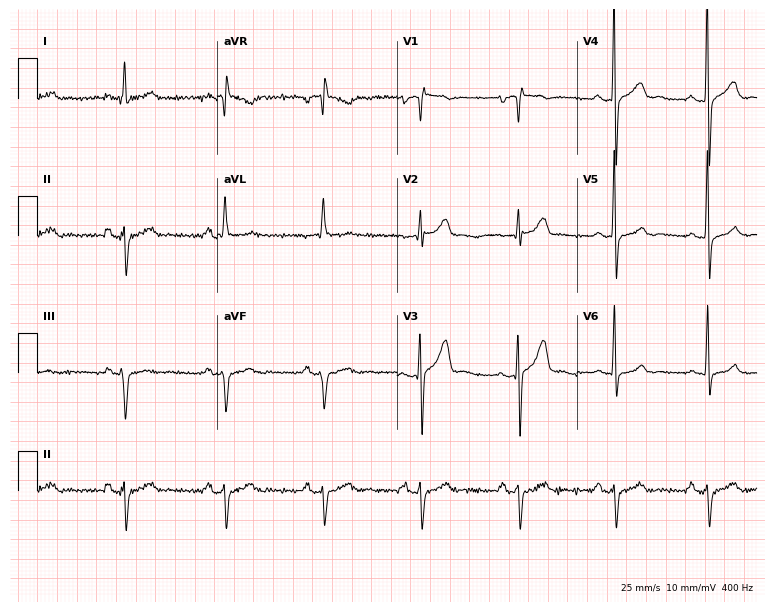
Resting 12-lead electrocardiogram. Patient: a 74-year-old man. None of these six findings is recorded: first-degree AV block, right bundle branch block (RBBB), left bundle branch block (LBBB), sinus bradycardia, atrial fibrillation (AF), sinus tachycardia. Only these six findings were labelled.